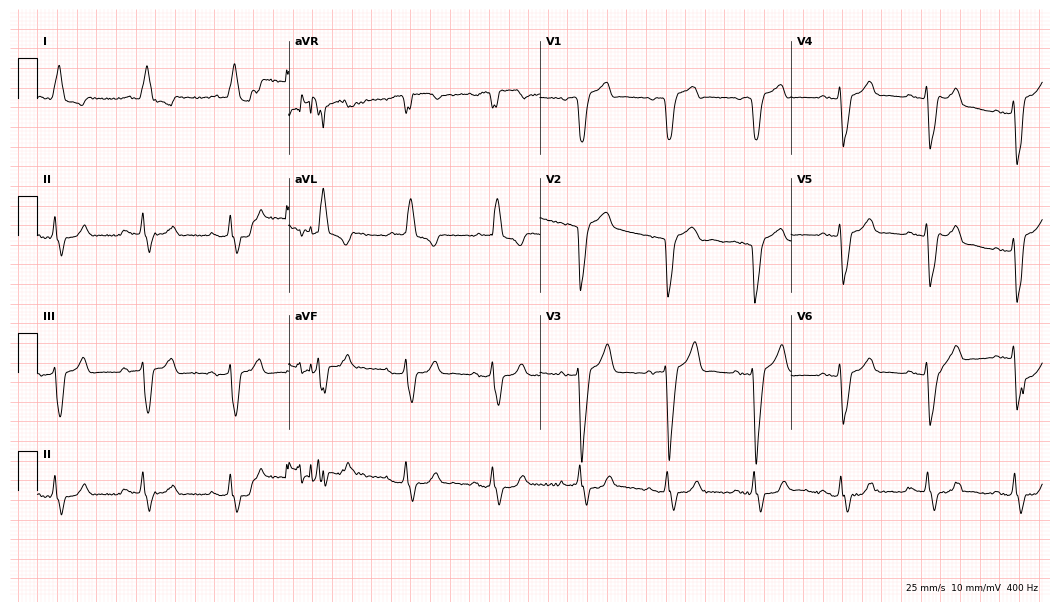
12-lead ECG from a male, 70 years old. Shows atrial fibrillation.